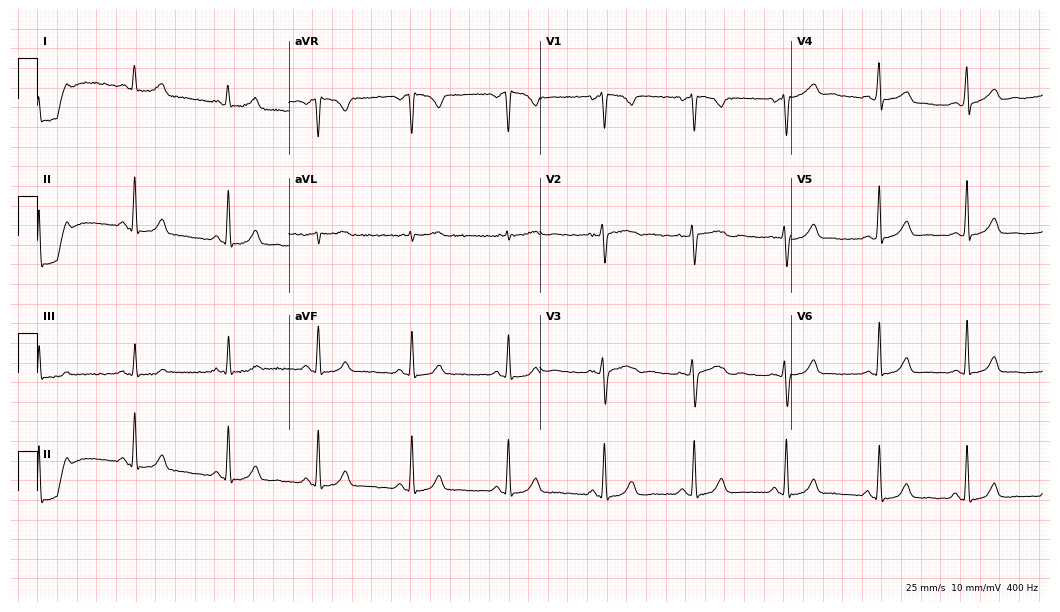
ECG — a 38-year-old female. Labelled as a normal ECG.